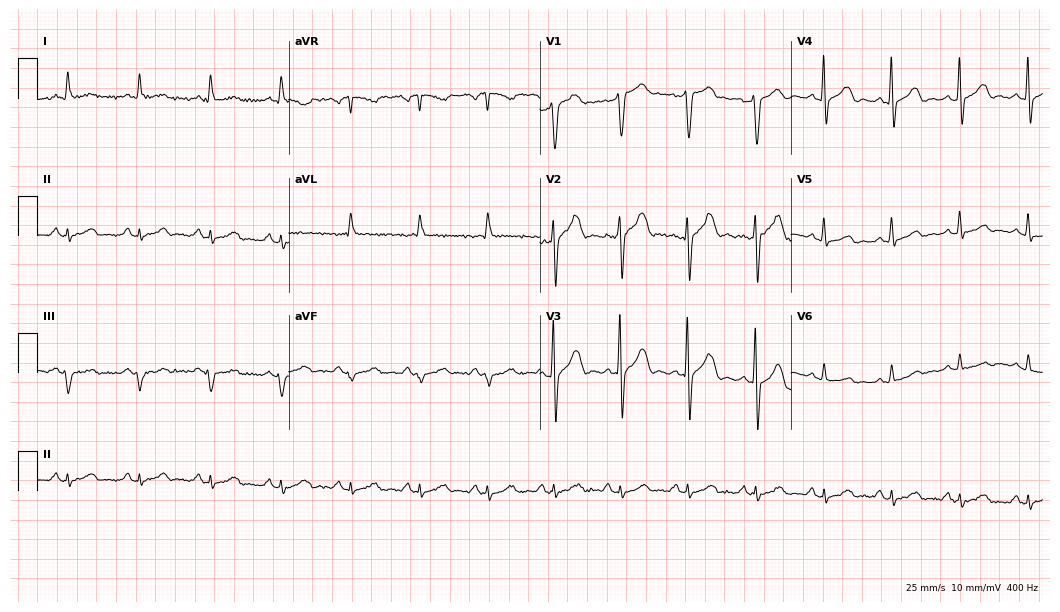
12-lead ECG from a 58-year-old male patient. Recorded interpretation: within normal limits.